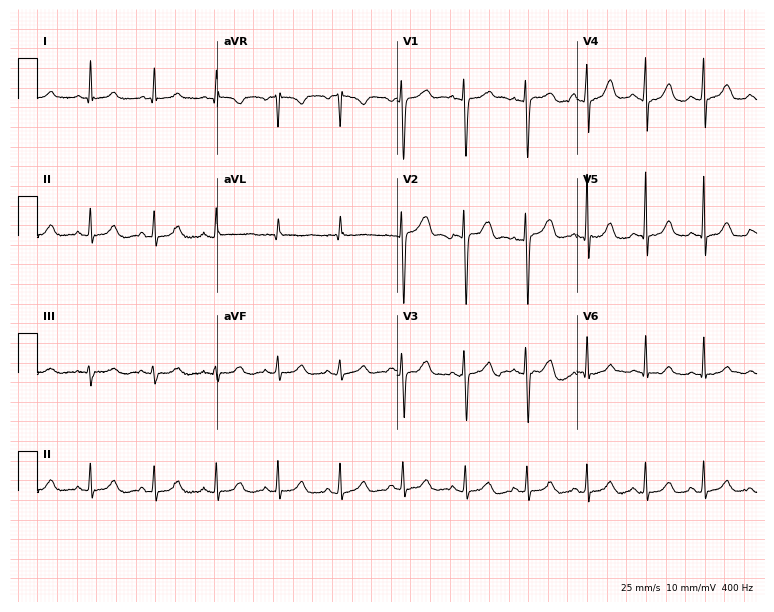
12-lead ECG (7.3-second recording at 400 Hz) from a 31-year-old woman. Labelled as a normal ECG.